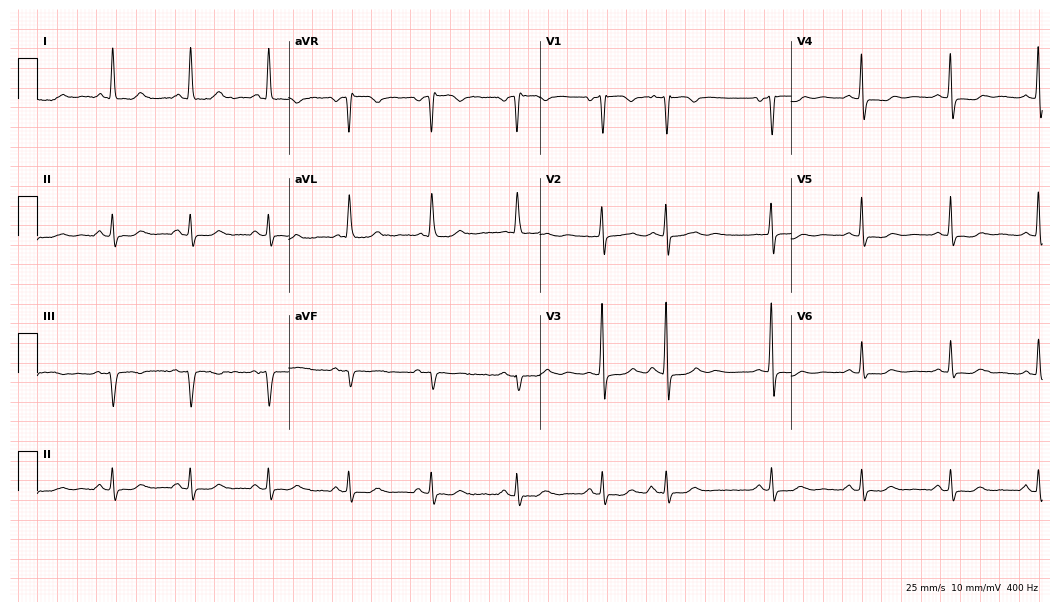
12-lead ECG (10.2-second recording at 400 Hz) from a 72-year-old female. Screened for six findings — first-degree AV block, right bundle branch block, left bundle branch block, sinus bradycardia, atrial fibrillation, sinus tachycardia — none is recorded.